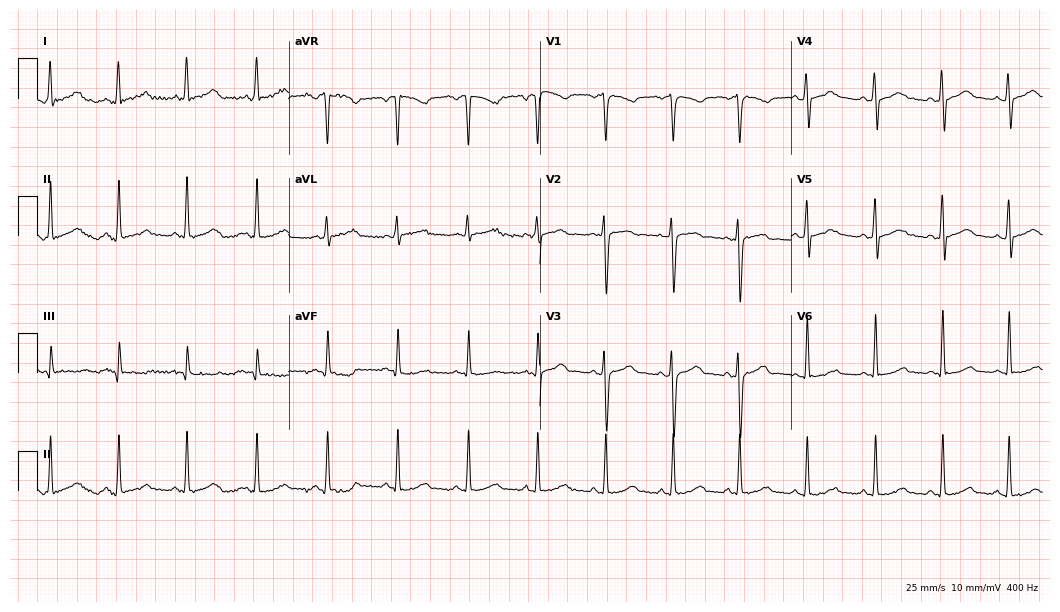
Resting 12-lead electrocardiogram (10.2-second recording at 400 Hz). Patient: a female, 30 years old. None of these six findings is recorded: first-degree AV block, right bundle branch block (RBBB), left bundle branch block (LBBB), sinus bradycardia, atrial fibrillation (AF), sinus tachycardia. Only these six findings were labelled.